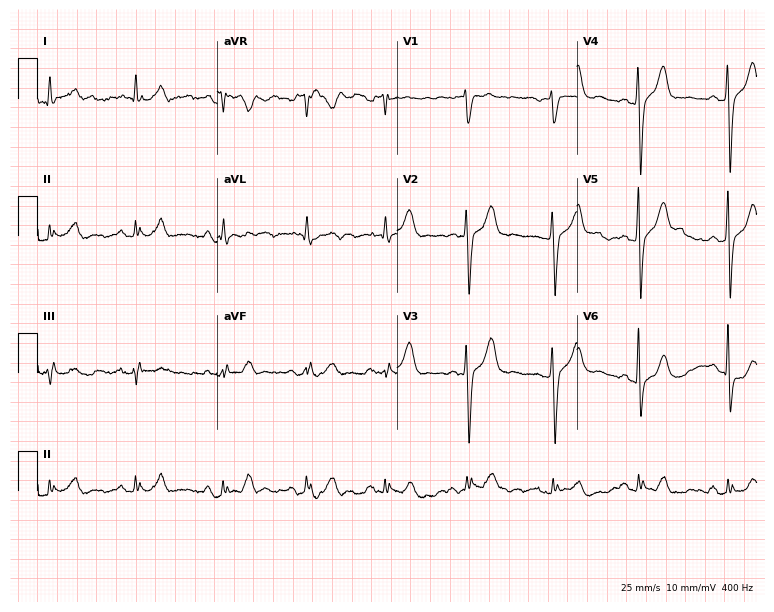
12-lead ECG (7.3-second recording at 400 Hz) from a male patient, 24 years old. Screened for six findings — first-degree AV block, right bundle branch block, left bundle branch block, sinus bradycardia, atrial fibrillation, sinus tachycardia — none is recorded.